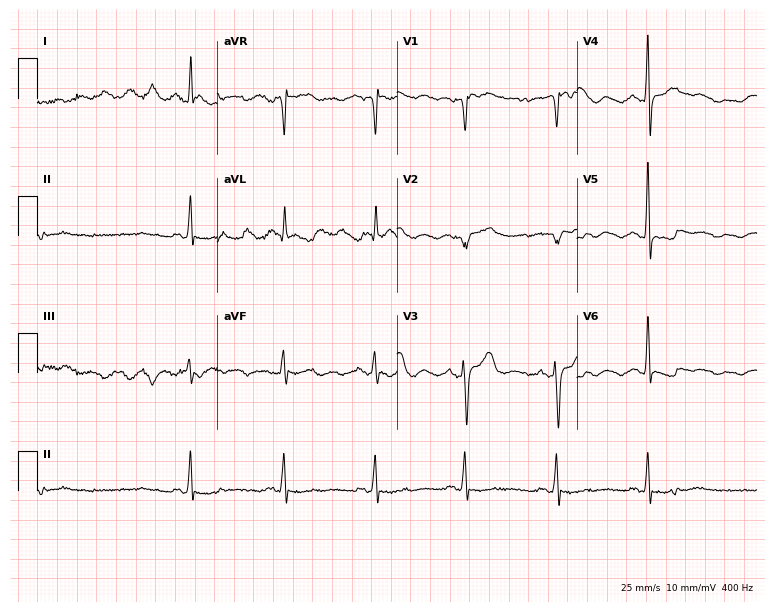
Resting 12-lead electrocardiogram (7.3-second recording at 400 Hz). Patient: a male, 84 years old. None of these six findings is recorded: first-degree AV block, right bundle branch block (RBBB), left bundle branch block (LBBB), sinus bradycardia, atrial fibrillation (AF), sinus tachycardia. Only these six findings were labelled.